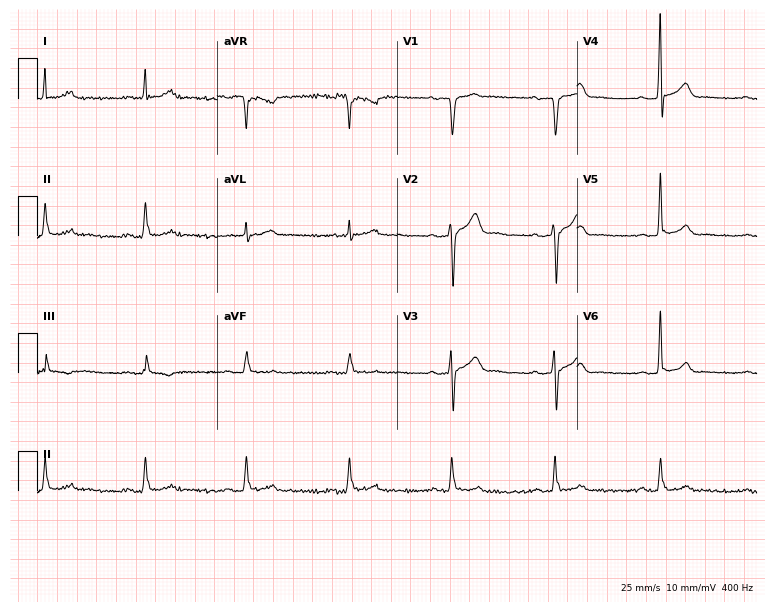
Resting 12-lead electrocardiogram (7.3-second recording at 400 Hz). Patient: a man, 57 years old. Read as a normal ECG.